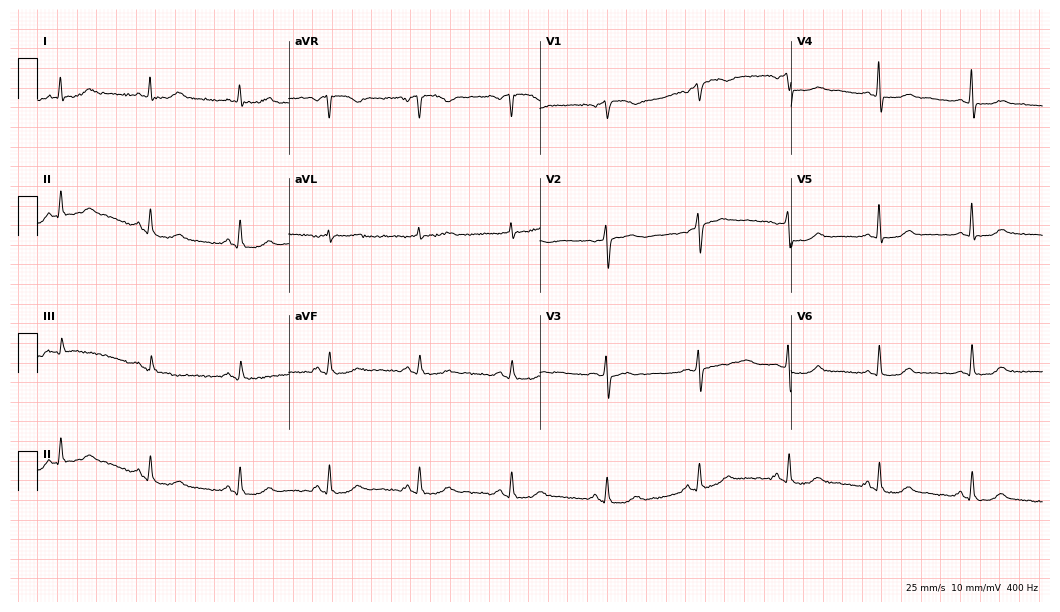
12-lead ECG from a 58-year-old woman. Labelled as a normal ECG.